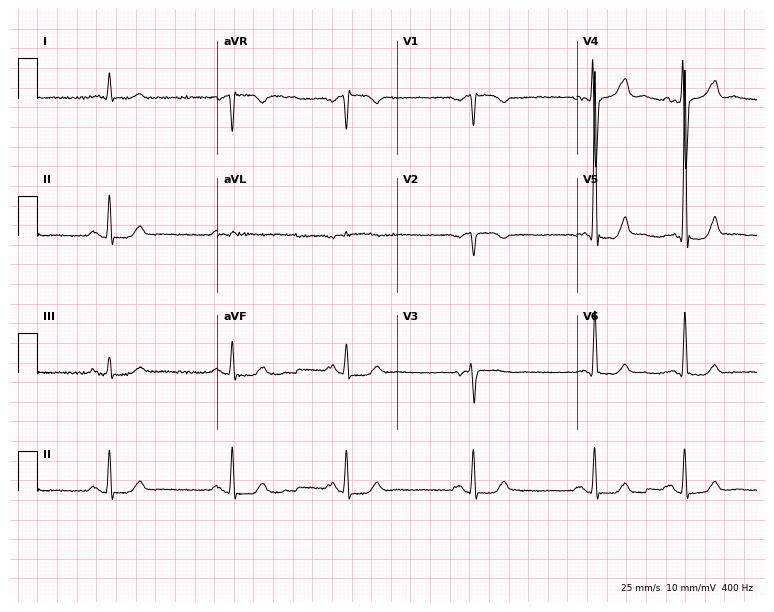
Standard 12-lead ECG recorded from an 86-year-old male patient. None of these six findings is recorded: first-degree AV block, right bundle branch block, left bundle branch block, sinus bradycardia, atrial fibrillation, sinus tachycardia. Only these six findings were labelled.